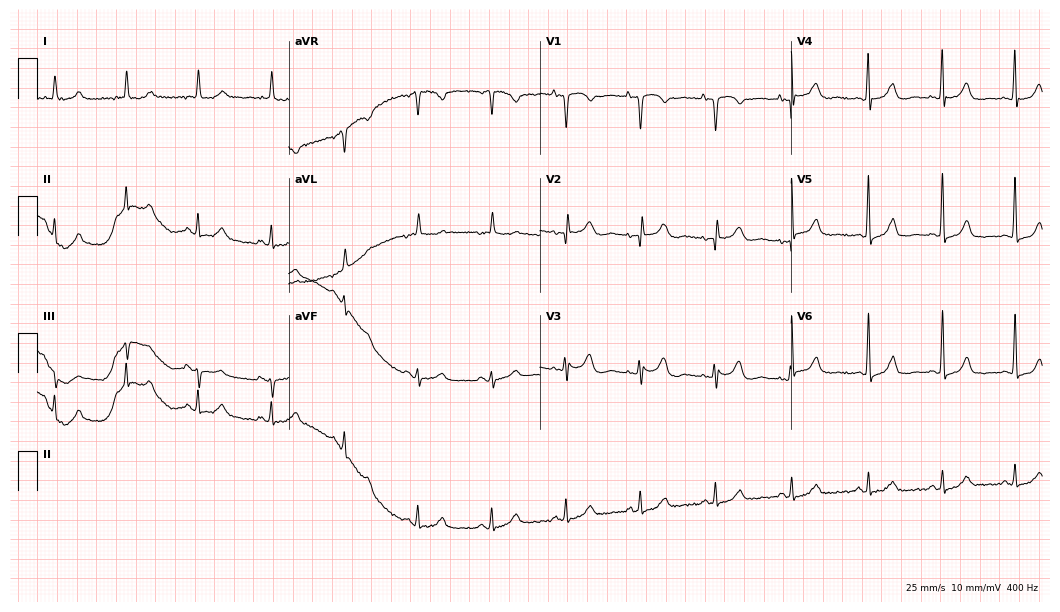
12-lead ECG (10.2-second recording at 400 Hz) from a female, 78 years old. Labelled as a normal ECG.